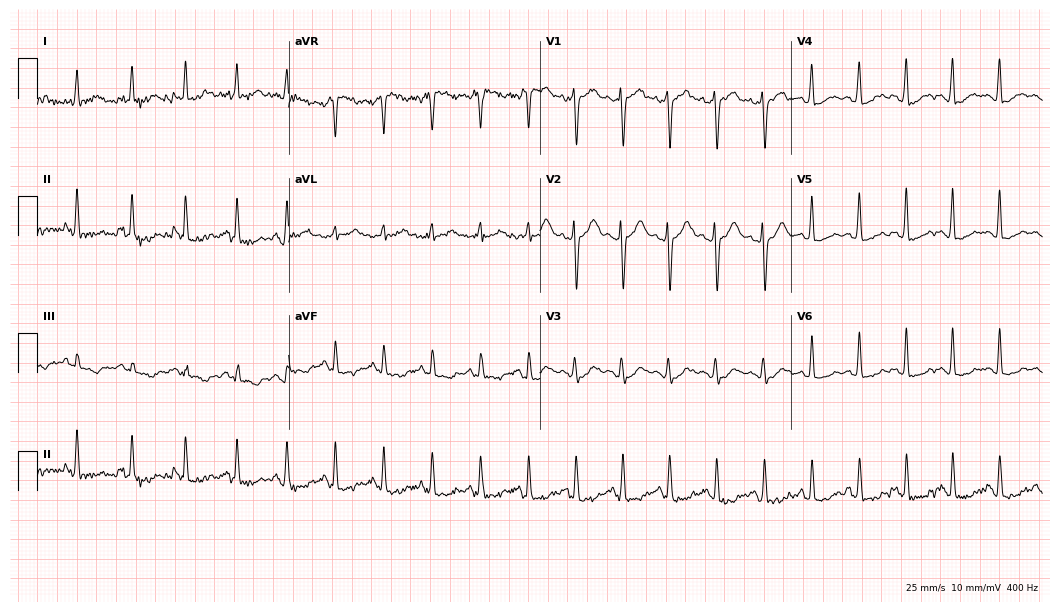
12-lead ECG from a woman, 35 years old. Findings include sinus tachycardia (a sinus rate of 100 beats per minute or more).